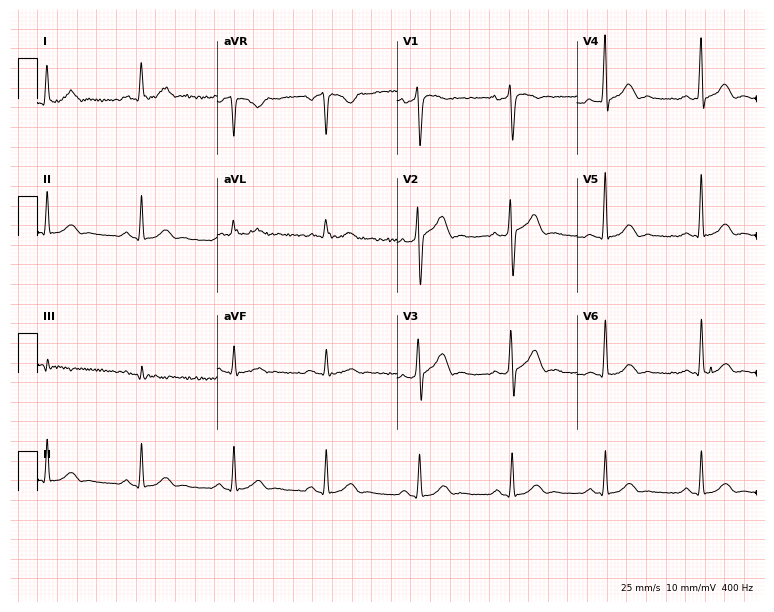
ECG — a 47-year-old male. Screened for six findings — first-degree AV block, right bundle branch block (RBBB), left bundle branch block (LBBB), sinus bradycardia, atrial fibrillation (AF), sinus tachycardia — none is recorded. Other findings, if any, are not listed.